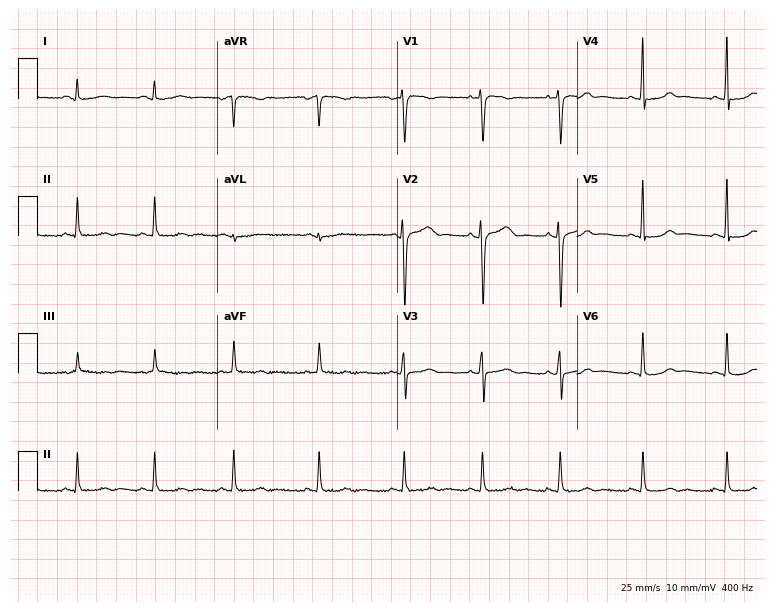
Standard 12-lead ECG recorded from a 25-year-old woman. Read as a normal ECG.